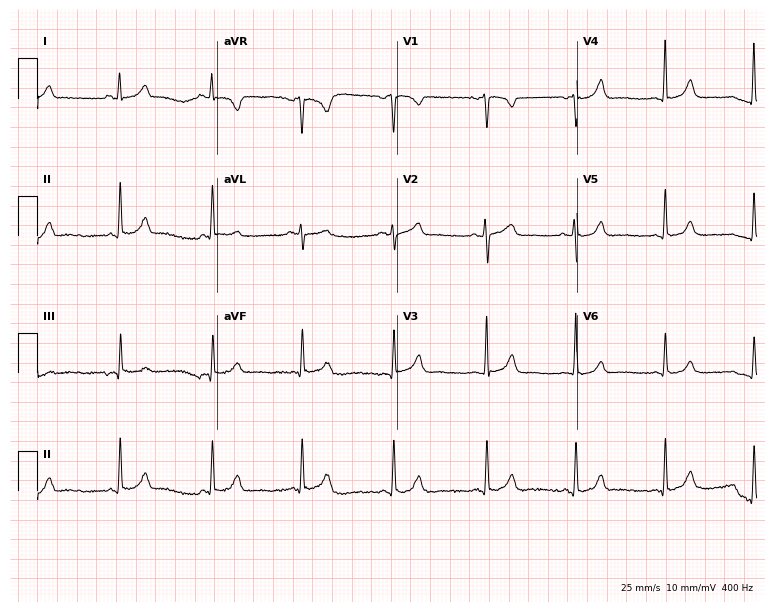
Resting 12-lead electrocardiogram. Patient: a 43-year-old woman. Read as a normal ECG.